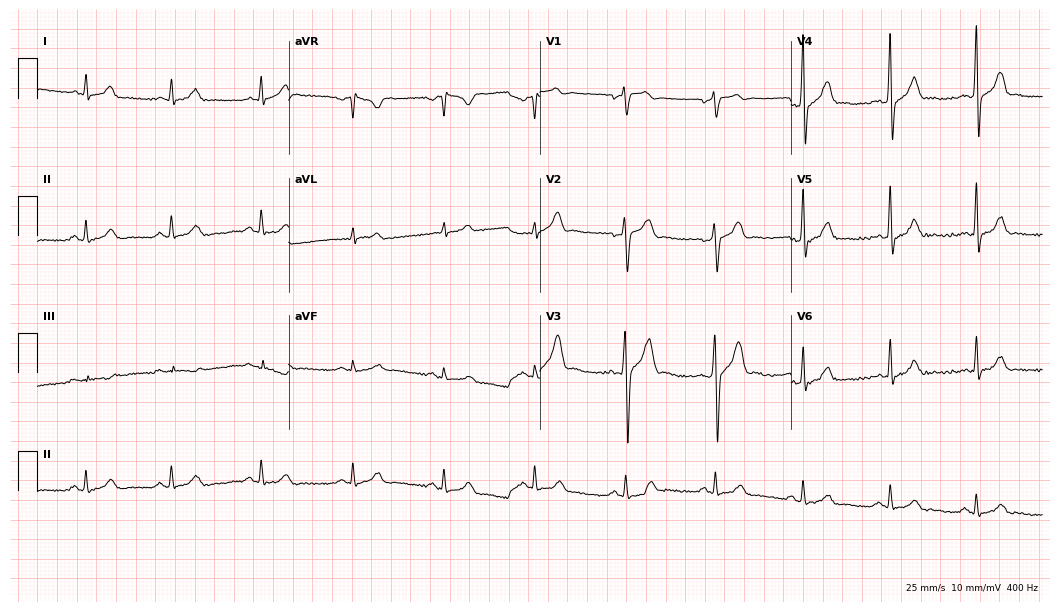
ECG (10.2-second recording at 400 Hz) — a man, 38 years old. Labelled as a normal ECG.